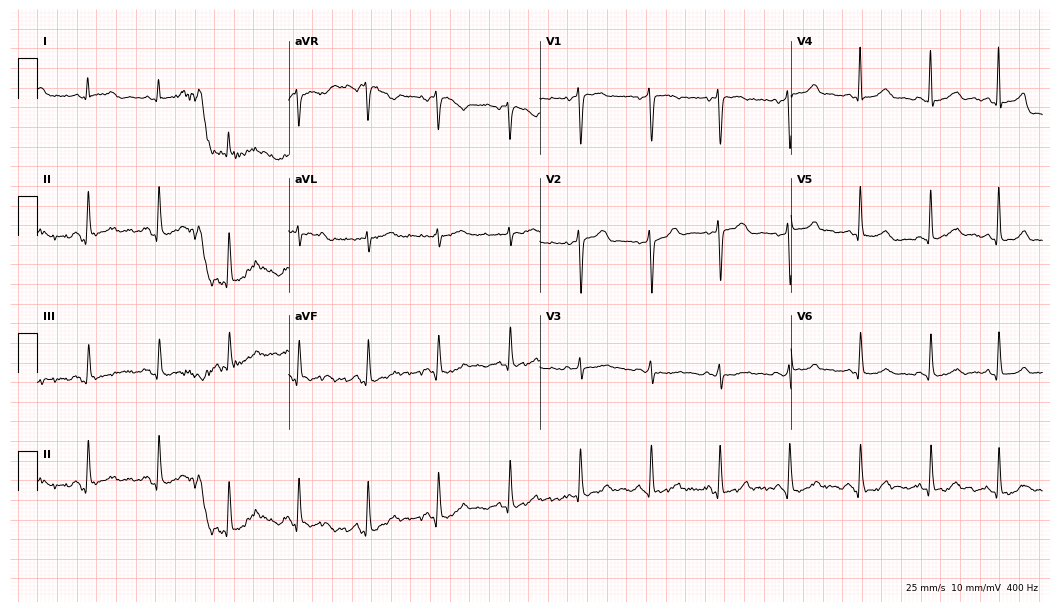
Standard 12-lead ECG recorded from a female patient, 62 years old (10.2-second recording at 400 Hz). Read as a normal ECG.